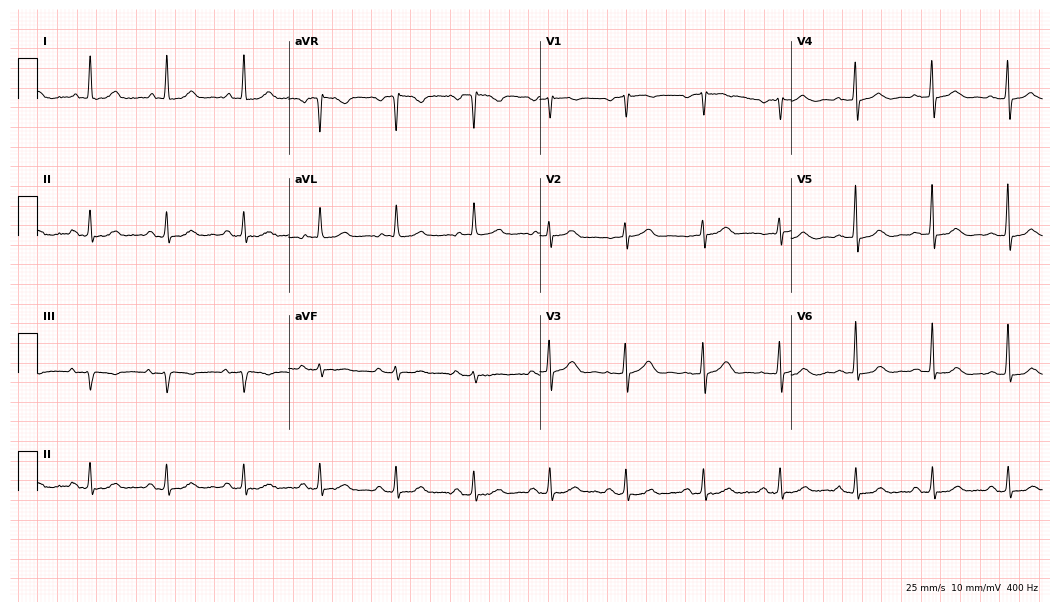
Resting 12-lead electrocardiogram (10.2-second recording at 400 Hz). Patient: a woman, 60 years old. Read as a normal ECG.